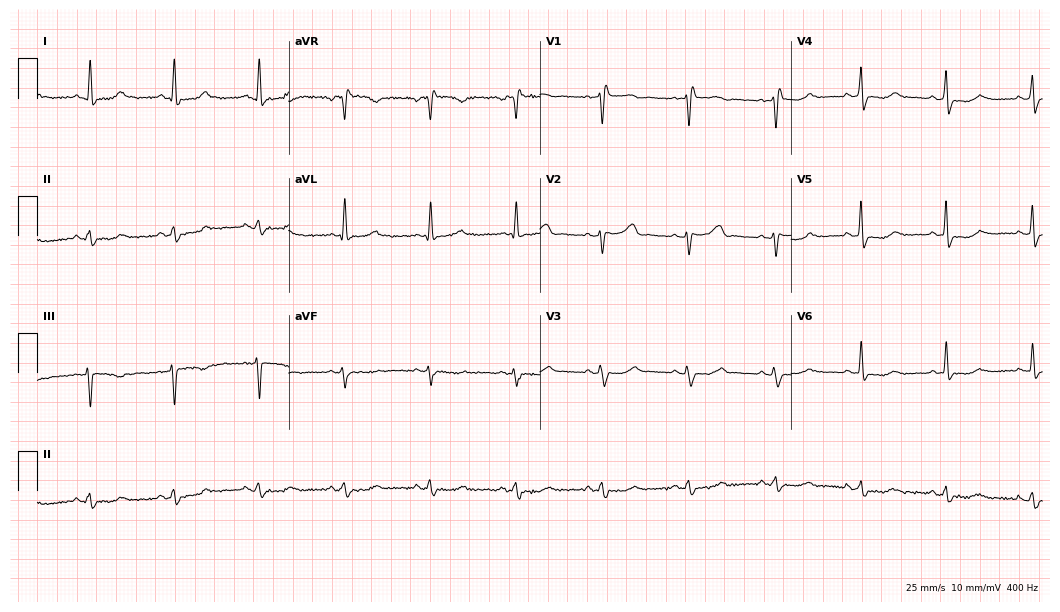
Resting 12-lead electrocardiogram (10.2-second recording at 400 Hz). Patient: a female, 68 years old. The tracing shows right bundle branch block.